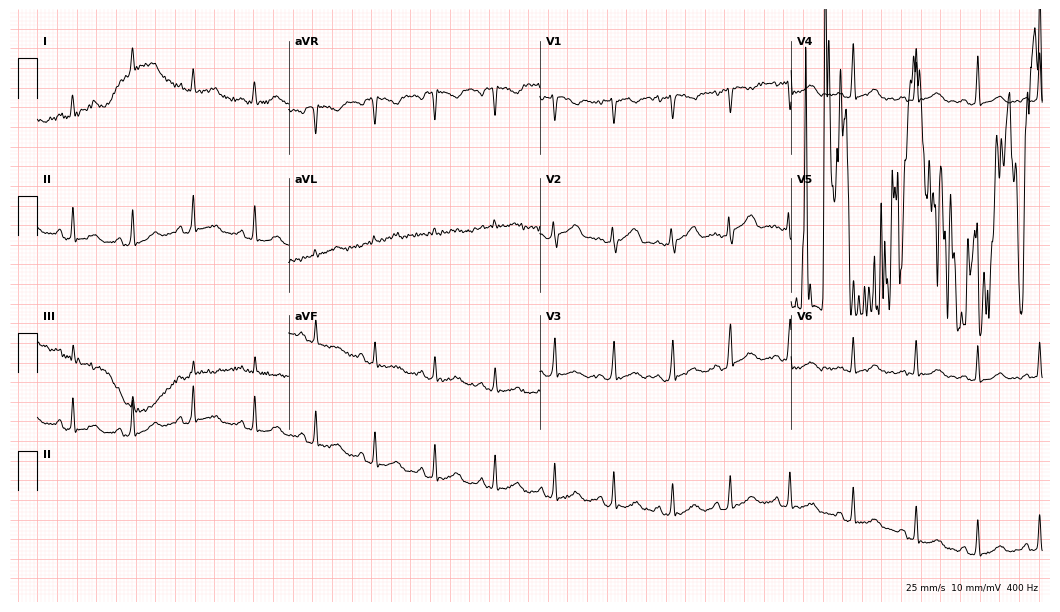
Standard 12-lead ECG recorded from a female, 34 years old. None of these six findings is recorded: first-degree AV block, right bundle branch block, left bundle branch block, sinus bradycardia, atrial fibrillation, sinus tachycardia. Findings outside these six are not listed.